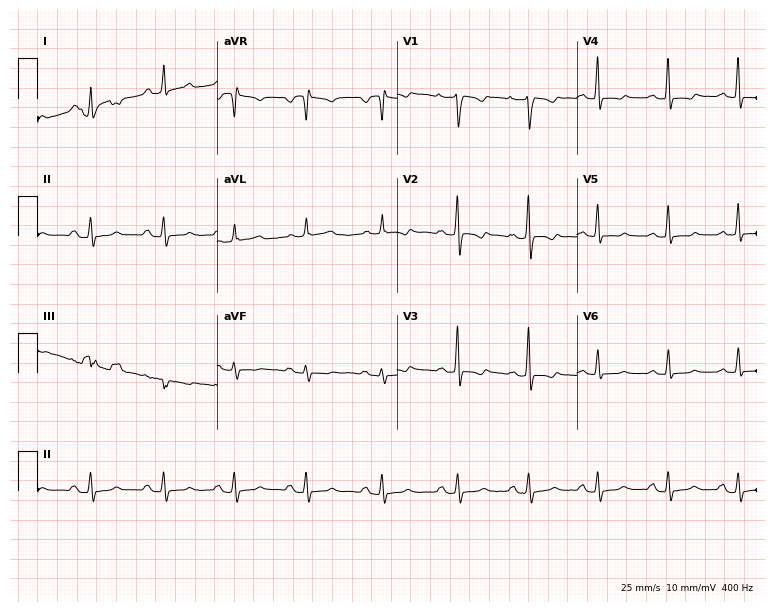
Resting 12-lead electrocardiogram. Patient: a female, 22 years old. None of these six findings is recorded: first-degree AV block, right bundle branch block, left bundle branch block, sinus bradycardia, atrial fibrillation, sinus tachycardia.